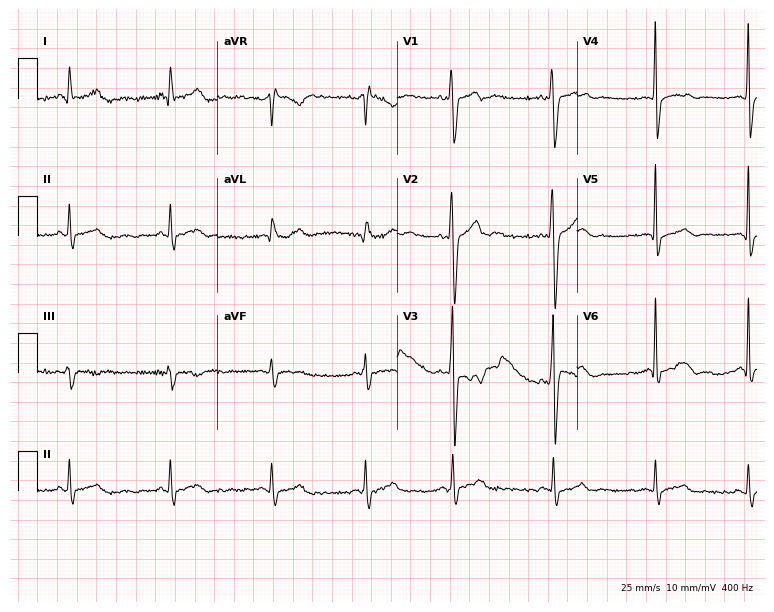
Electrocardiogram, a man, 30 years old. Of the six screened findings (first-degree AV block, right bundle branch block, left bundle branch block, sinus bradycardia, atrial fibrillation, sinus tachycardia), none is recorded. Only these six findings were labelled.